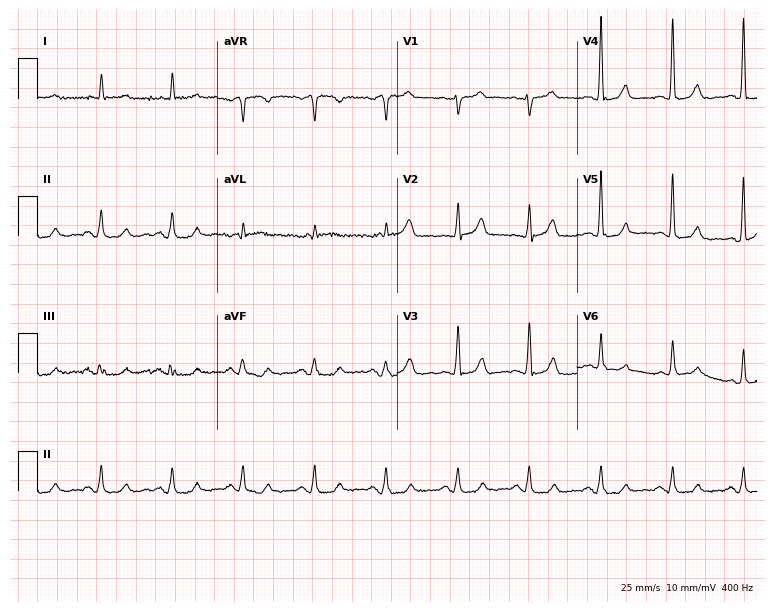
Resting 12-lead electrocardiogram (7.3-second recording at 400 Hz). Patient: a 70-year-old male. Read as a normal ECG.